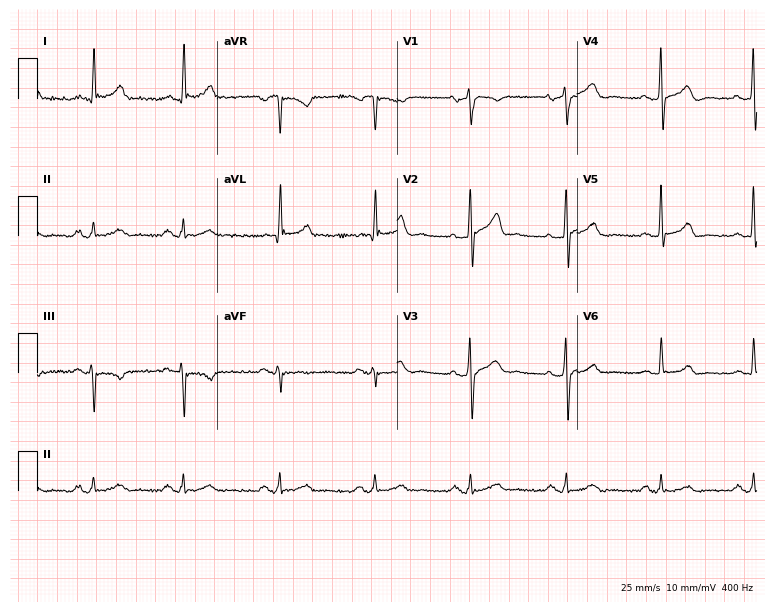
Electrocardiogram, a male, 59 years old. Of the six screened findings (first-degree AV block, right bundle branch block (RBBB), left bundle branch block (LBBB), sinus bradycardia, atrial fibrillation (AF), sinus tachycardia), none is recorded.